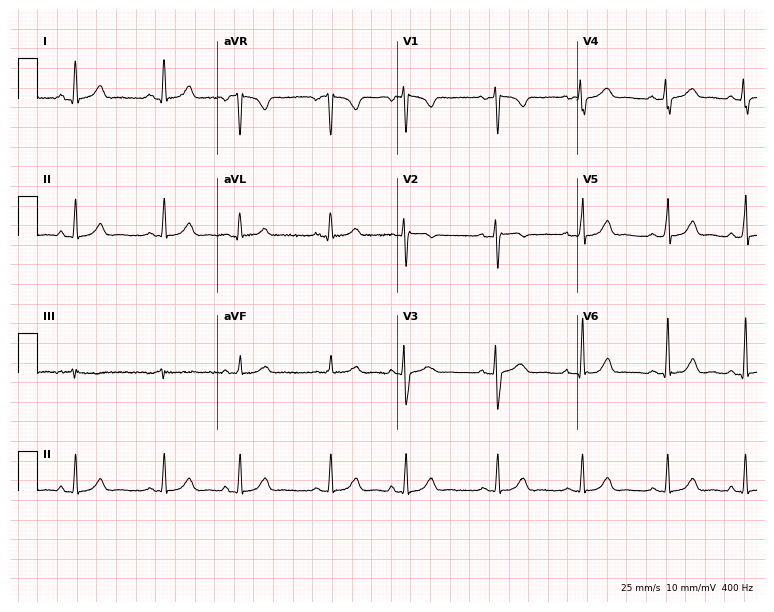
12-lead ECG from a 38-year-old female. Recorded interpretation: within normal limits.